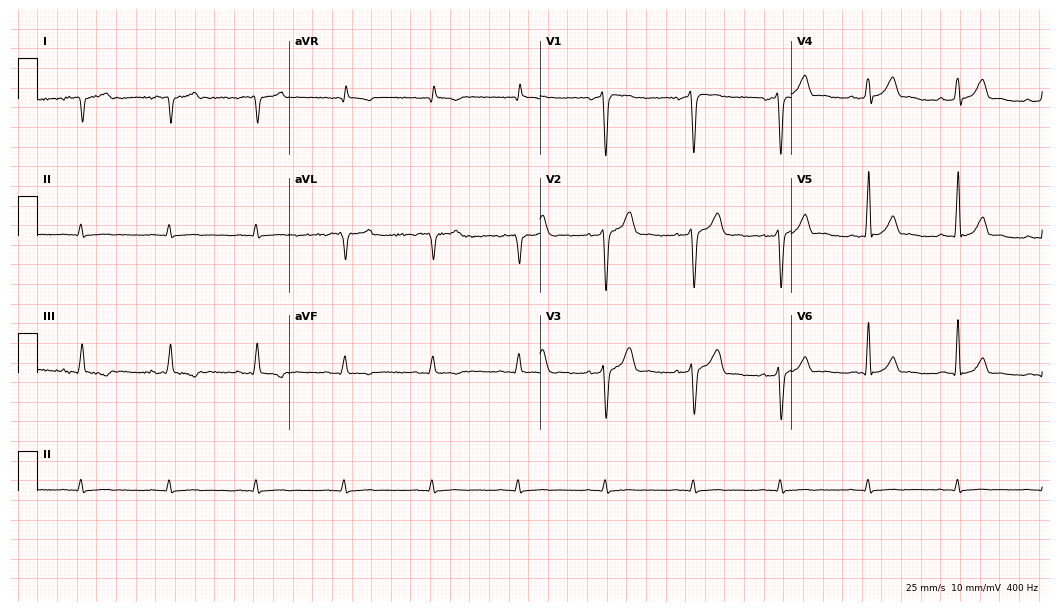
12-lead ECG (10.2-second recording at 400 Hz) from a 47-year-old male patient. Screened for six findings — first-degree AV block, right bundle branch block, left bundle branch block, sinus bradycardia, atrial fibrillation, sinus tachycardia — none is recorded.